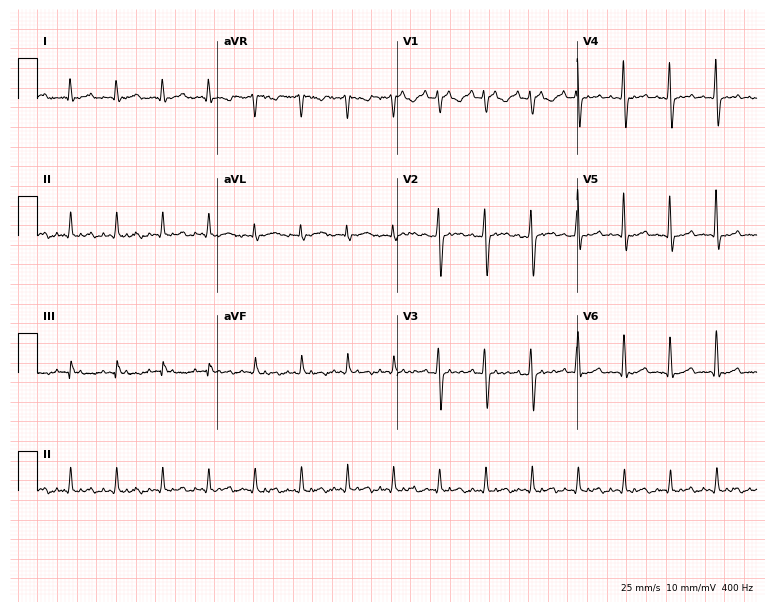
Electrocardiogram, an 84-year-old male patient. Of the six screened findings (first-degree AV block, right bundle branch block, left bundle branch block, sinus bradycardia, atrial fibrillation, sinus tachycardia), none is recorded. Findings outside these six are not listed.